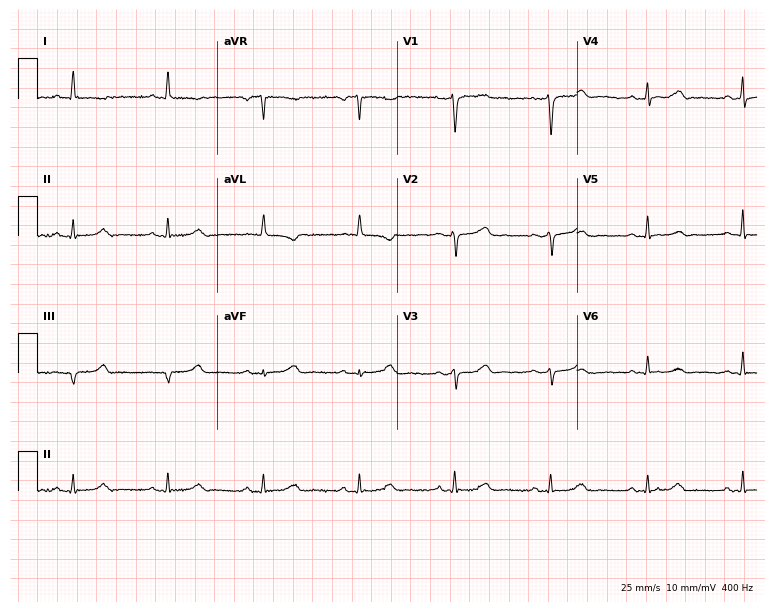
12-lead ECG from a female, 66 years old. No first-degree AV block, right bundle branch block, left bundle branch block, sinus bradycardia, atrial fibrillation or sinus tachycardia recorded for this tracing. Other findings, if any, are not listed.